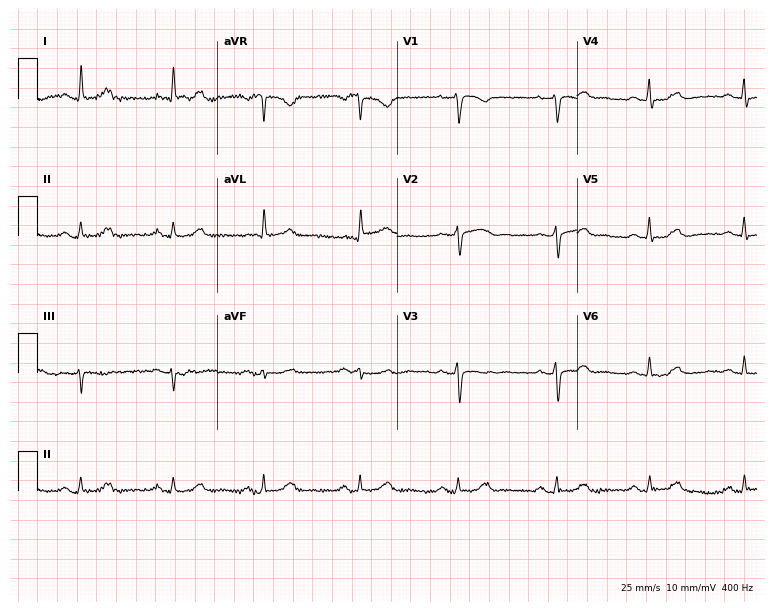
12-lead ECG from a female patient, 45 years old. No first-degree AV block, right bundle branch block, left bundle branch block, sinus bradycardia, atrial fibrillation or sinus tachycardia recorded for this tracing. Other findings, if any, are not listed.